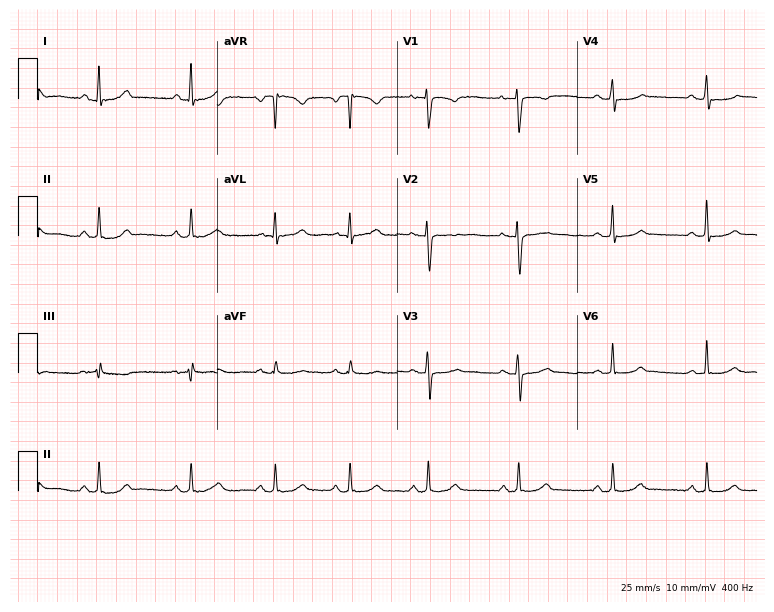
Electrocardiogram (7.3-second recording at 400 Hz), a 42-year-old woman. Overall reading on record: normal ECG.